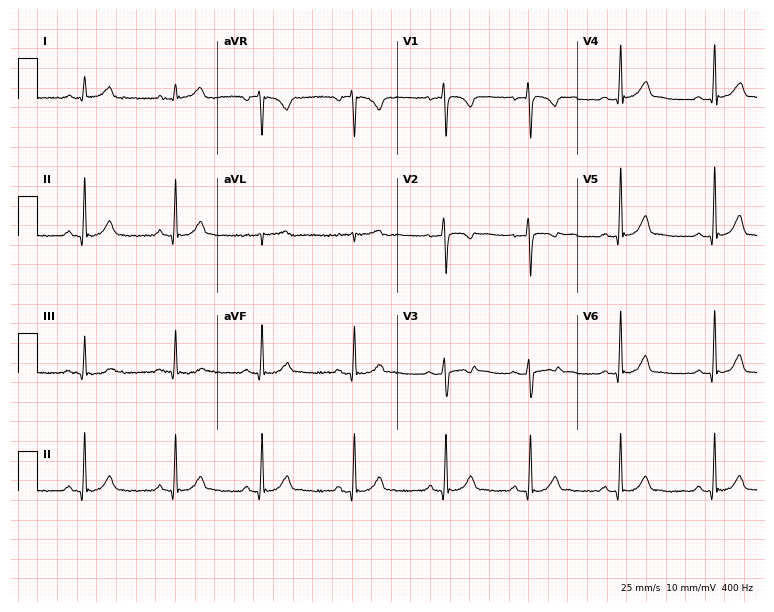
12-lead ECG from a female, 28 years old. No first-degree AV block, right bundle branch block, left bundle branch block, sinus bradycardia, atrial fibrillation or sinus tachycardia recorded for this tracing. Findings outside these six are not listed.